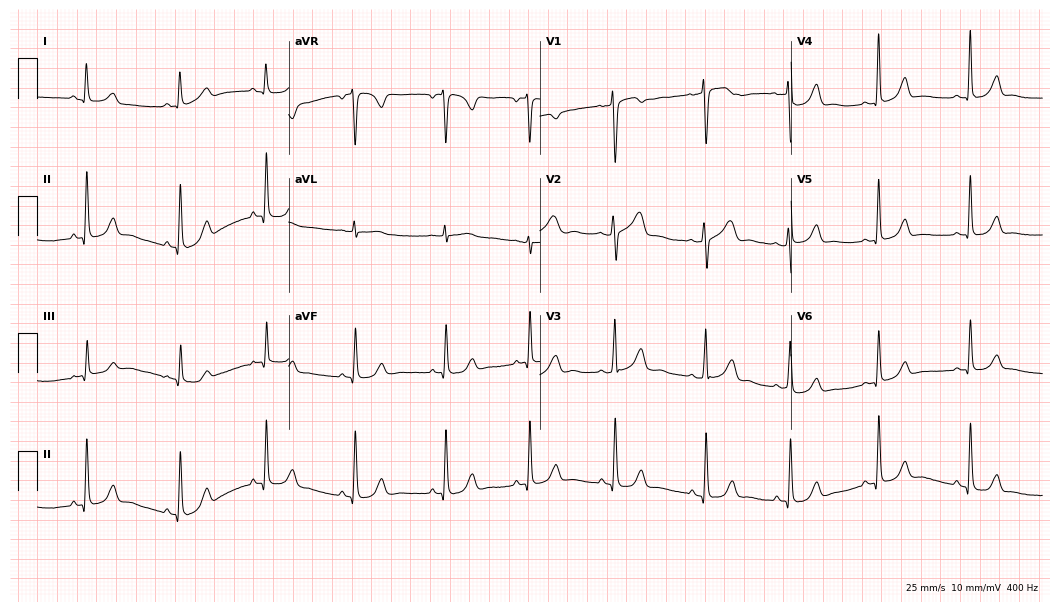
Electrocardiogram, a 46-year-old woman. Overall reading on record: normal ECG.